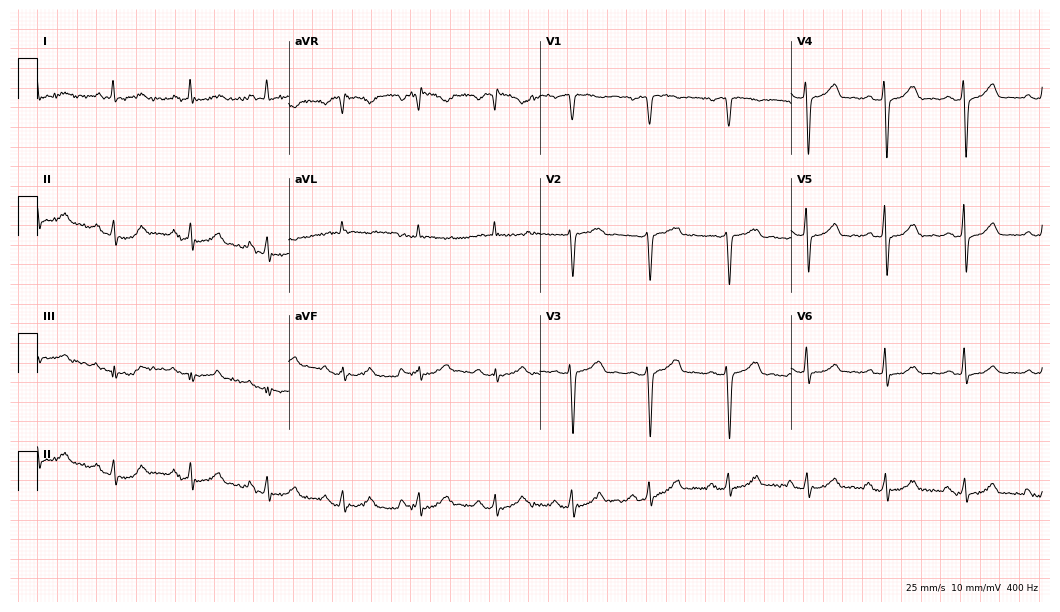
Electrocardiogram, a female patient, 53 years old. Of the six screened findings (first-degree AV block, right bundle branch block (RBBB), left bundle branch block (LBBB), sinus bradycardia, atrial fibrillation (AF), sinus tachycardia), none is recorded. Only these six findings were labelled.